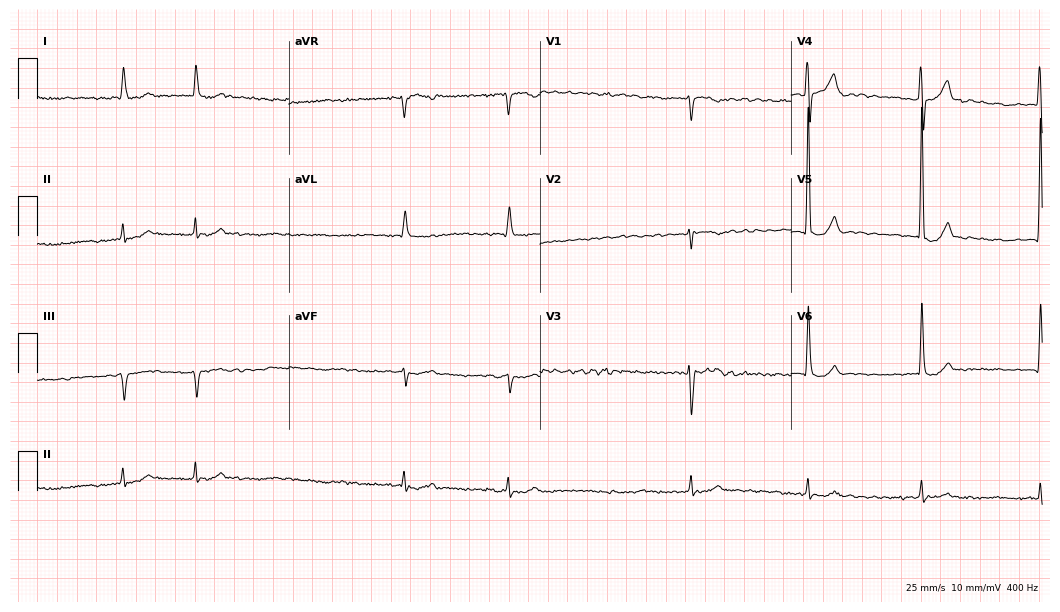
Resting 12-lead electrocardiogram. Patient: a male, 77 years old. The tracing shows atrial fibrillation.